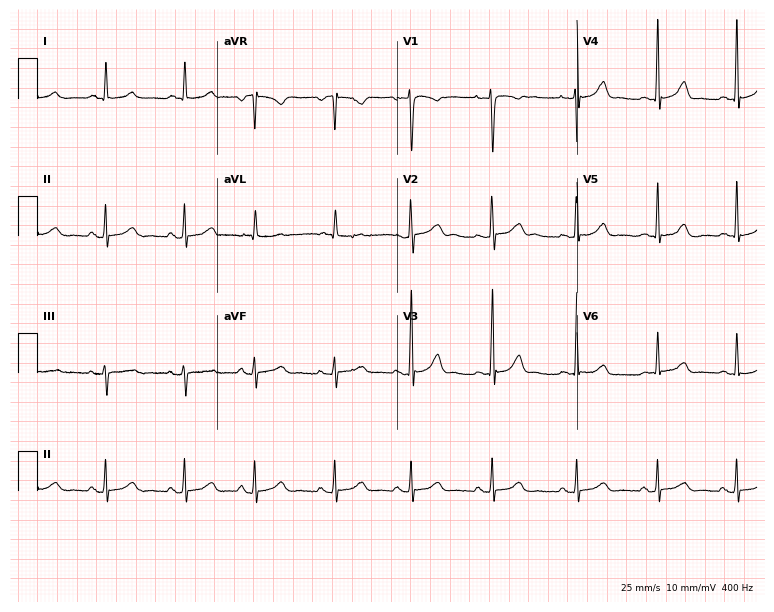
12-lead ECG from a woman, 31 years old (7.3-second recording at 400 Hz). No first-degree AV block, right bundle branch block (RBBB), left bundle branch block (LBBB), sinus bradycardia, atrial fibrillation (AF) or sinus tachycardia recorded for this tracing.